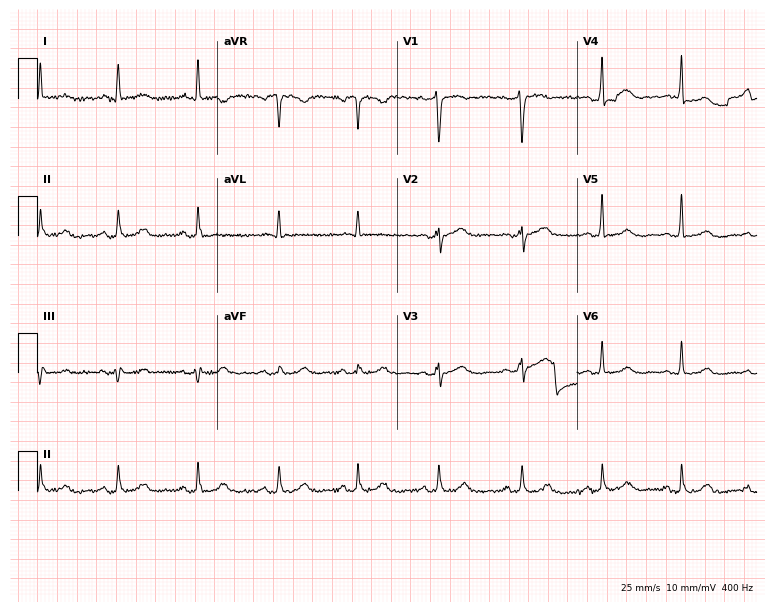
12-lead ECG from a female, 66 years old (7.3-second recording at 400 Hz). Recorded interpretation: within normal limits.